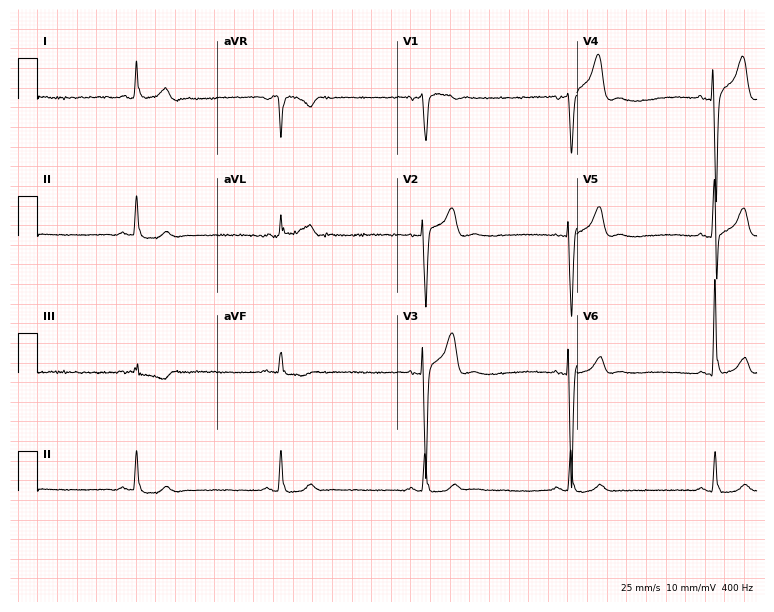
Resting 12-lead electrocardiogram. Patient: a 64-year-old male. None of these six findings is recorded: first-degree AV block, right bundle branch block, left bundle branch block, sinus bradycardia, atrial fibrillation, sinus tachycardia. Findings outside these six are not listed.